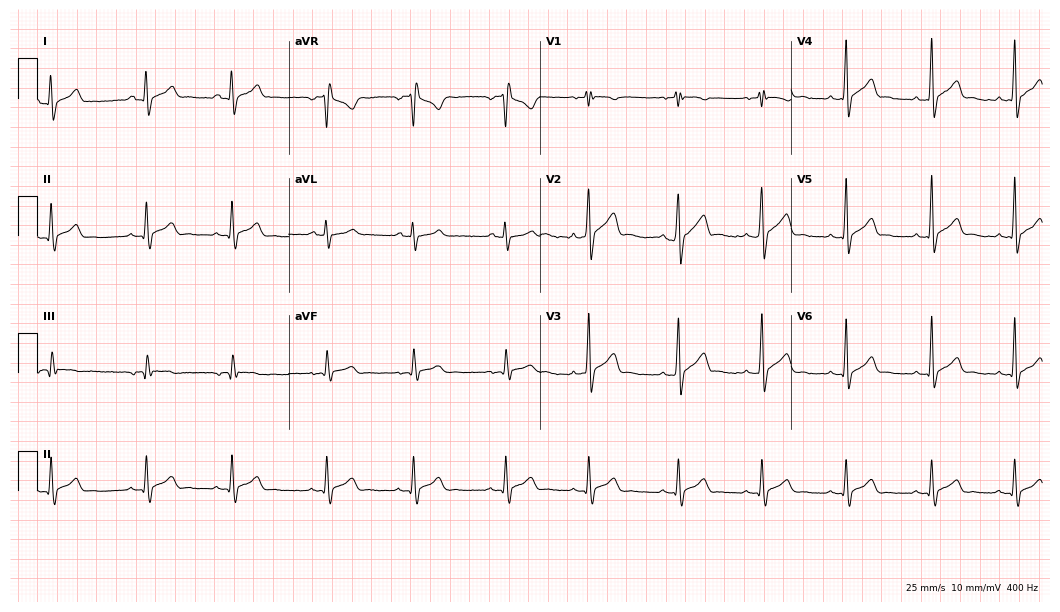
Electrocardiogram (10.2-second recording at 400 Hz), a male, 18 years old. Of the six screened findings (first-degree AV block, right bundle branch block, left bundle branch block, sinus bradycardia, atrial fibrillation, sinus tachycardia), none is recorded. Only these six findings were labelled.